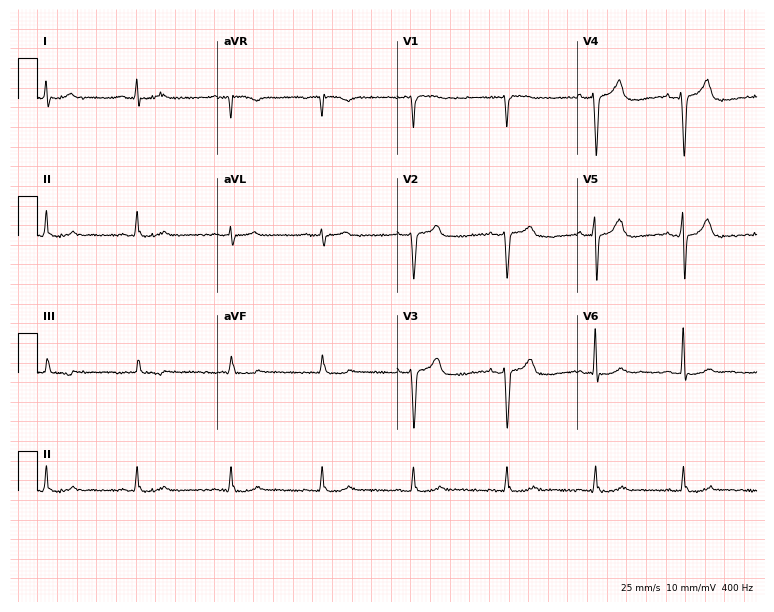
12-lead ECG (7.3-second recording at 400 Hz) from a 57-year-old man. Screened for six findings — first-degree AV block, right bundle branch block, left bundle branch block, sinus bradycardia, atrial fibrillation, sinus tachycardia — none is recorded. Only these six findings were labelled.